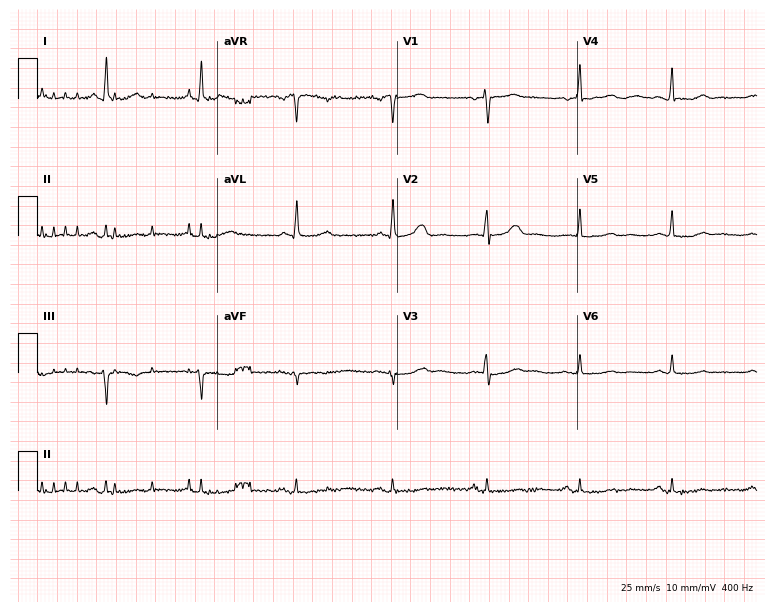
12-lead ECG from a female, 76 years old. No first-degree AV block, right bundle branch block, left bundle branch block, sinus bradycardia, atrial fibrillation or sinus tachycardia recorded for this tracing. Other findings, if any, are not listed.